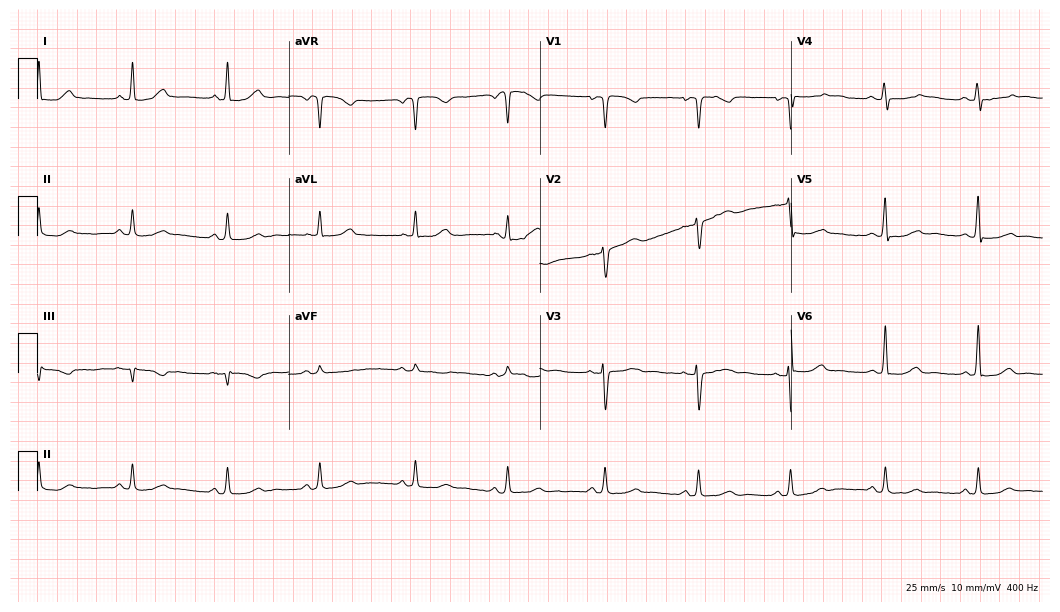
Electrocardiogram (10.2-second recording at 400 Hz), a female, 47 years old. Of the six screened findings (first-degree AV block, right bundle branch block (RBBB), left bundle branch block (LBBB), sinus bradycardia, atrial fibrillation (AF), sinus tachycardia), none is recorded.